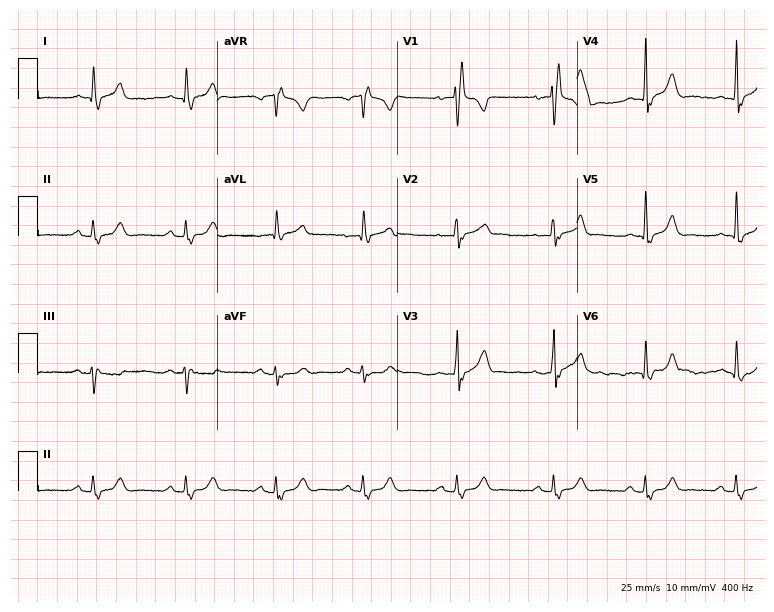
12-lead ECG from a male, 48 years old. No first-degree AV block, right bundle branch block, left bundle branch block, sinus bradycardia, atrial fibrillation or sinus tachycardia recorded for this tracing.